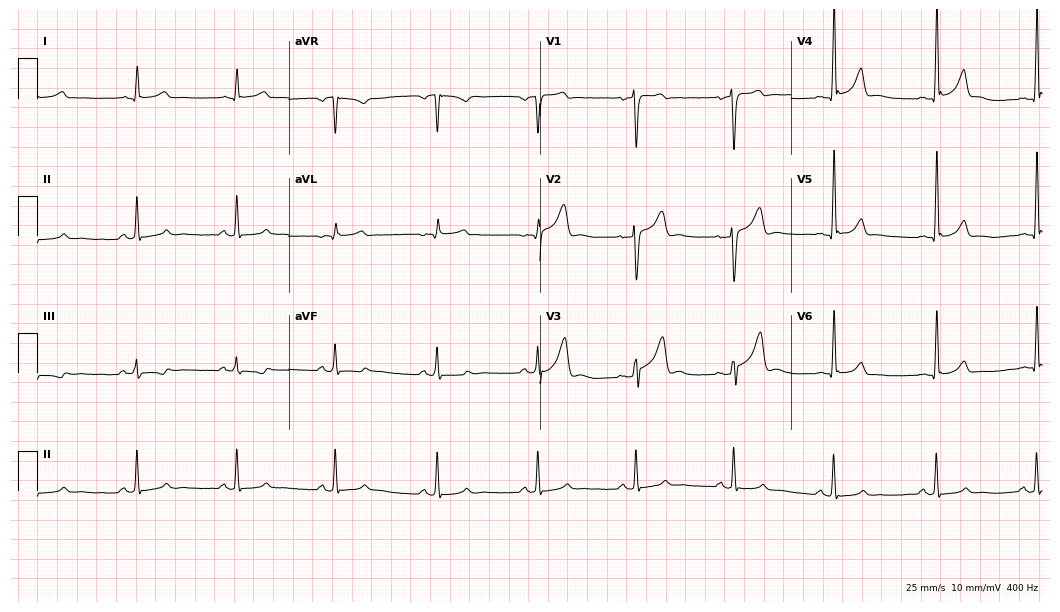
Electrocardiogram (10.2-second recording at 400 Hz), a 40-year-old man. Of the six screened findings (first-degree AV block, right bundle branch block, left bundle branch block, sinus bradycardia, atrial fibrillation, sinus tachycardia), none is recorded.